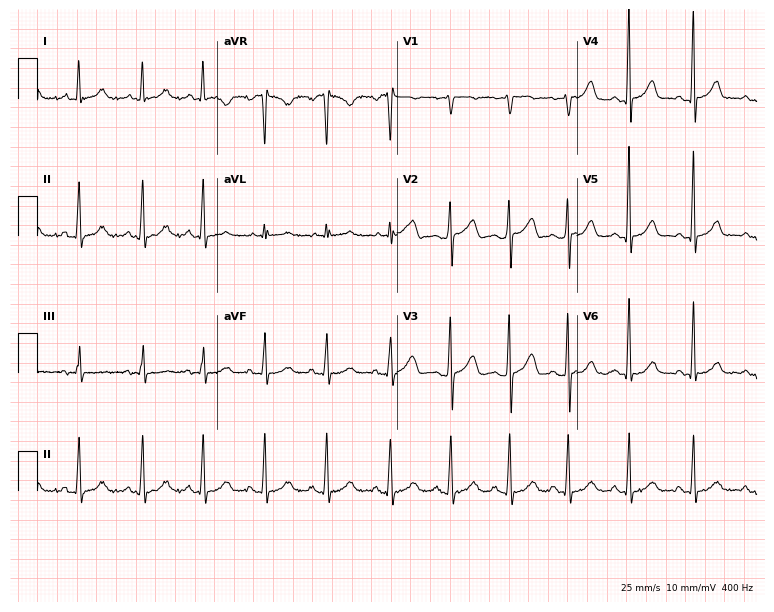
12-lead ECG from a man, 40 years old. Labelled as a normal ECG.